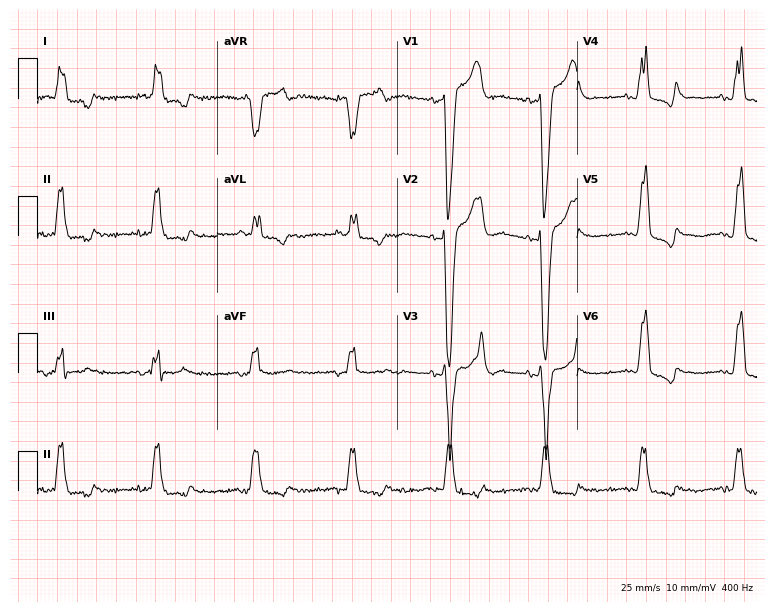
Resting 12-lead electrocardiogram (7.3-second recording at 400 Hz). Patient: a man, 68 years old. The tracing shows left bundle branch block.